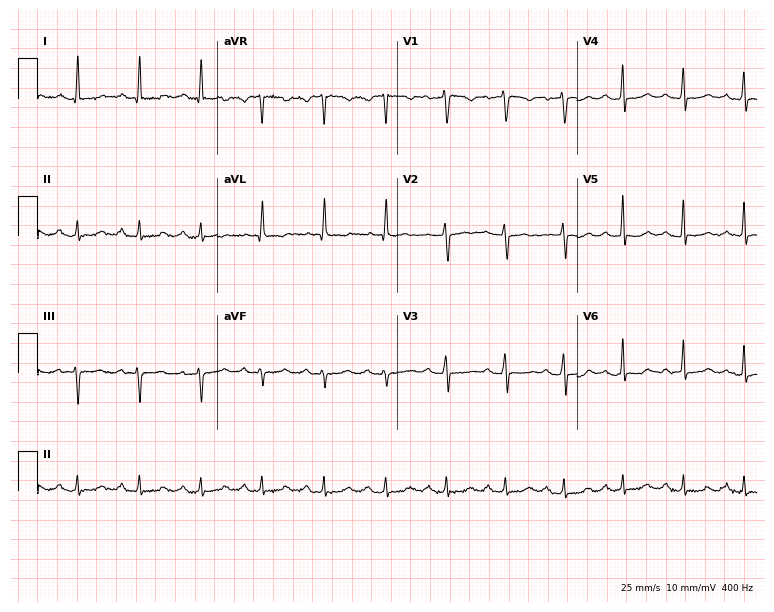
Standard 12-lead ECG recorded from a 45-year-old woman (7.3-second recording at 400 Hz). None of these six findings is recorded: first-degree AV block, right bundle branch block, left bundle branch block, sinus bradycardia, atrial fibrillation, sinus tachycardia.